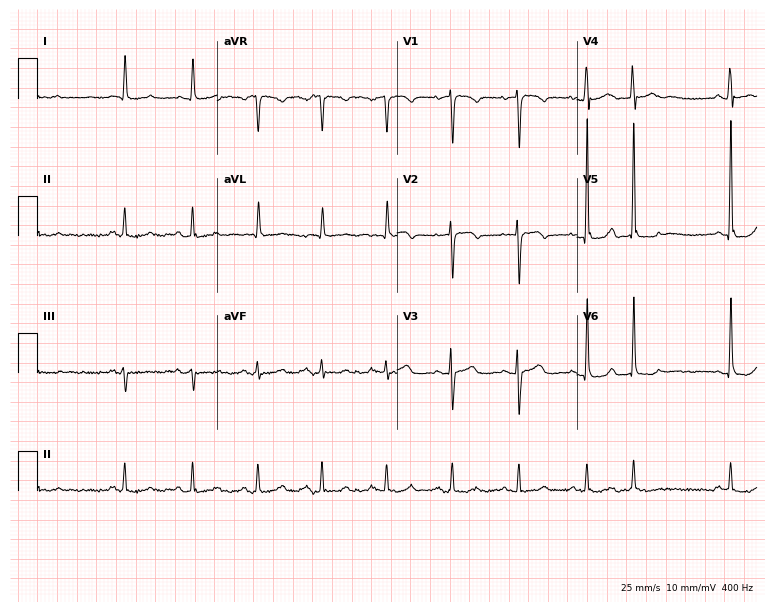
Electrocardiogram (7.3-second recording at 400 Hz), a 61-year-old woman. Of the six screened findings (first-degree AV block, right bundle branch block, left bundle branch block, sinus bradycardia, atrial fibrillation, sinus tachycardia), none is recorded.